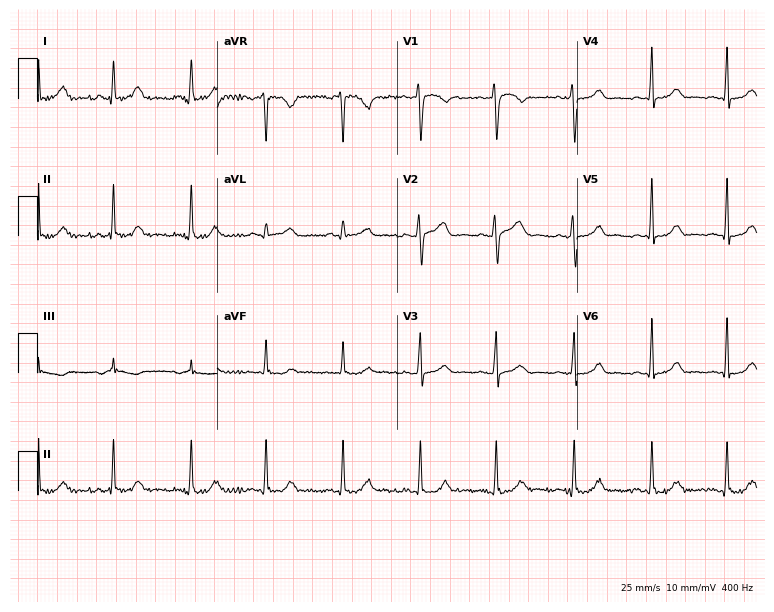
12-lead ECG from a woman, 43 years old. Recorded interpretation: within normal limits.